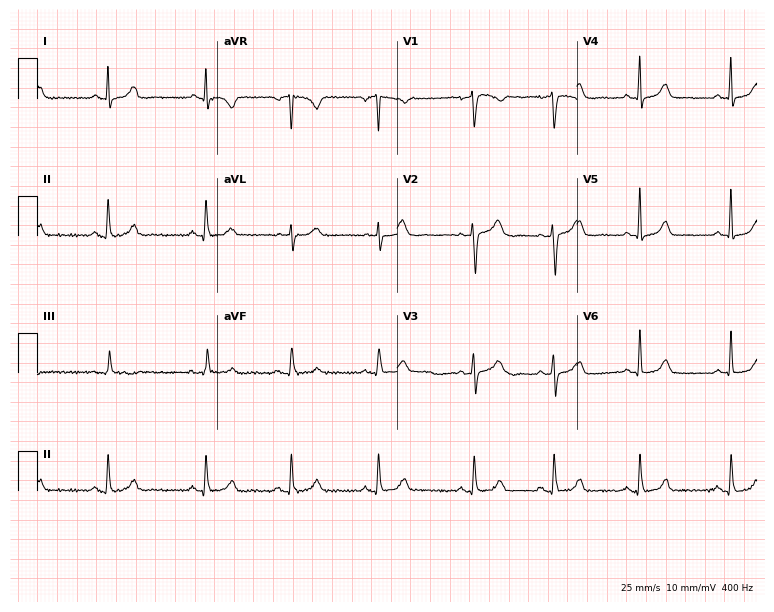
Standard 12-lead ECG recorded from a female, 49 years old (7.3-second recording at 400 Hz). None of these six findings is recorded: first-degree AV block, right bundle branch block, left bundle branch block, sinus bradycardia, atrial fibrillation, sinus tachycardia.